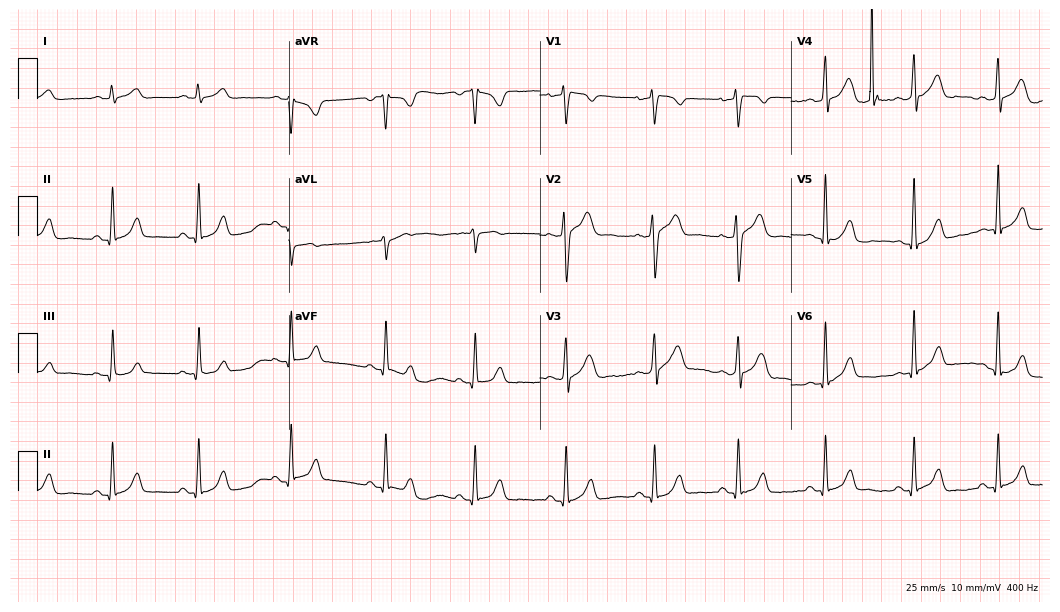
Resting 12-lead electrocardiogram (10.2-second recording at 400 Hz). Patient: a man, 57 years old. None of these six findings is recorded: first-degree AV block, right bundle branch block, left bundle branch block, sinus bradycardia, atrial fibrillation, sinus tachycardia.